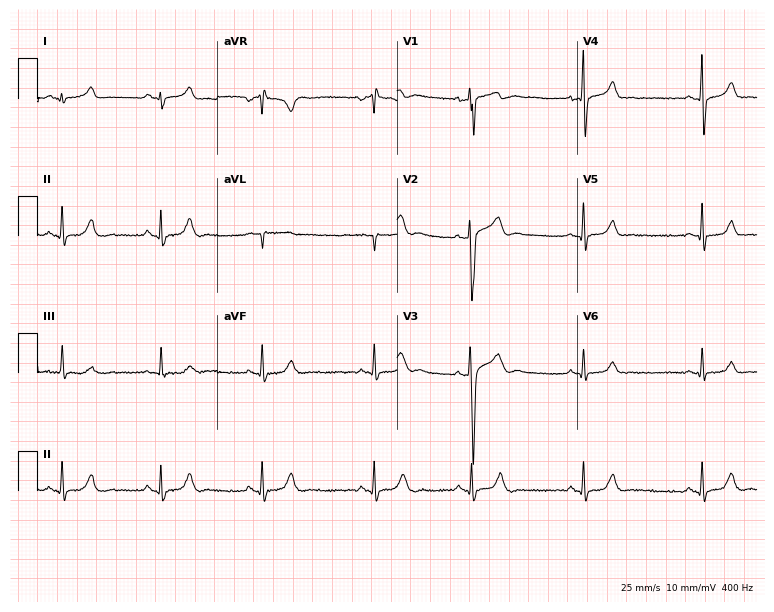
12-lead ECG from a female patient, 29 years old (7.3-second recording at 400 Hz). No first-degree AV block, right bundle branch block, left bundle branch block, sinus bradycardia, atrial fibrillation or sinus tachycardia recorded for this tracing.